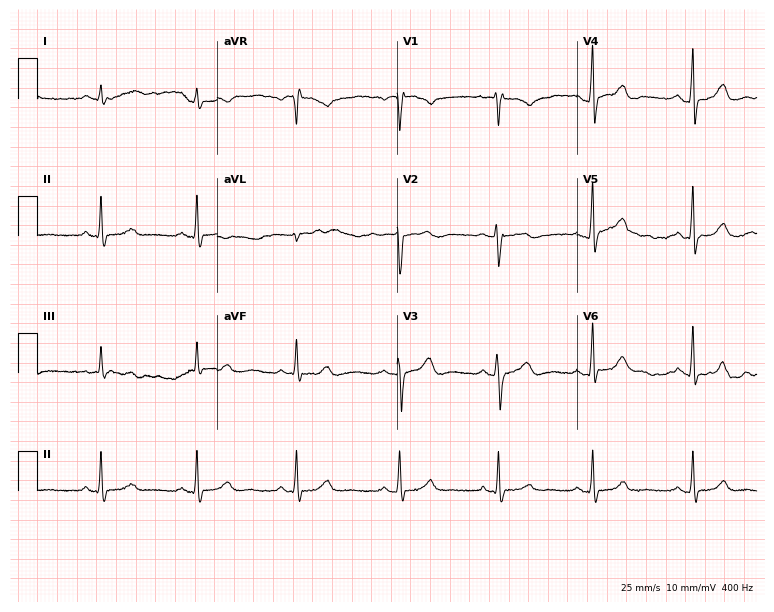
Resting 12-lead electrocardiogram (7.3-second recording at 400 Hz). Patient: a 44-year-old woman. None of these six findings is recorded: first-degree AV block, right bundle branch block, left bundle branch block, sinus bradycardia, atrial fibrillation, sinus tachycardia. Only these six findings were labelled.